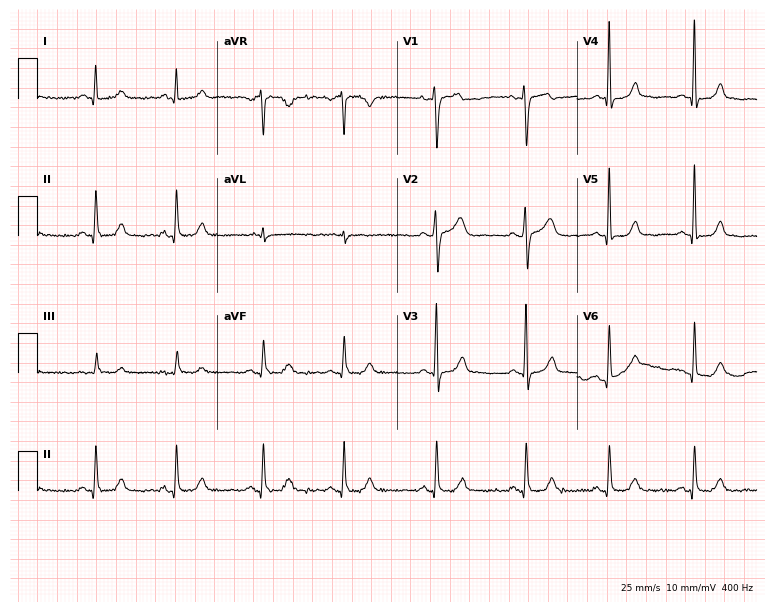
Standard 12-lead ECG recorded from a woman, 40 years old. Read as a normal ECG.